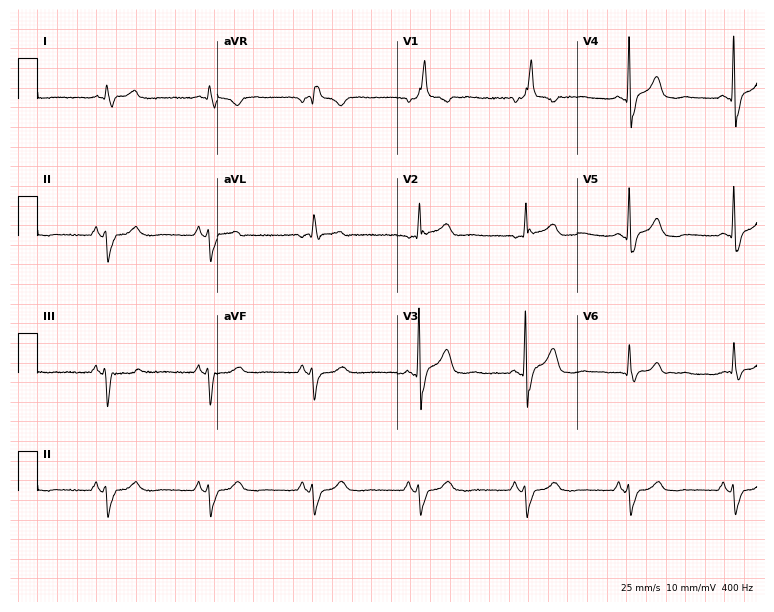
ECG (7.3-second recording at 400 Hz) — a male patient, 81 years old. Screened for six findings — first-degree AV block, right bundle branch block, left bundle branch block, sinus bradycardia, atrial fibrillation, sinus tachycardia — none is recorded. Findings outside these six are not listed.